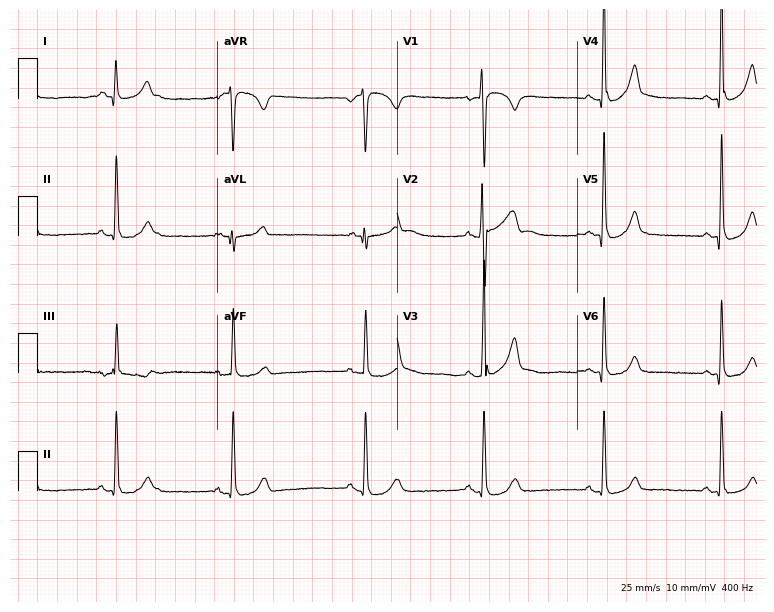
ECG — a male patient, 27 years old. Screened for six findings — first-degree AV block, right bundle branch block (RBBB), left bundle branch block (LBBB), sinus bradycardia, atrial fibrillation (AF), sinus tachycardia — none is recorded. Other findings, if any, are not listed.